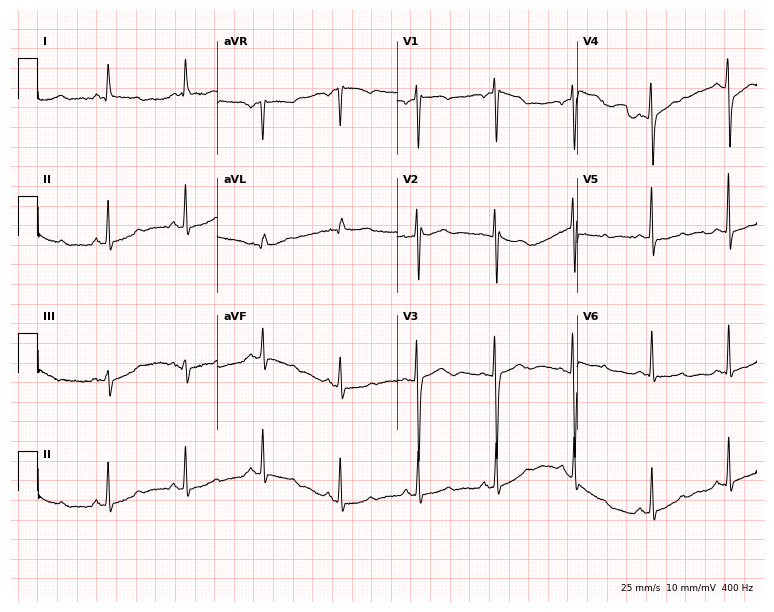
Electrocardiogram, a 58-year-old female patient. Of the six screened findings (first-degree AV block, right bundle branch block, left bundle branch block, sinus bradycardia, atrial fibrillation, sinus tachycardia), none is recorded.